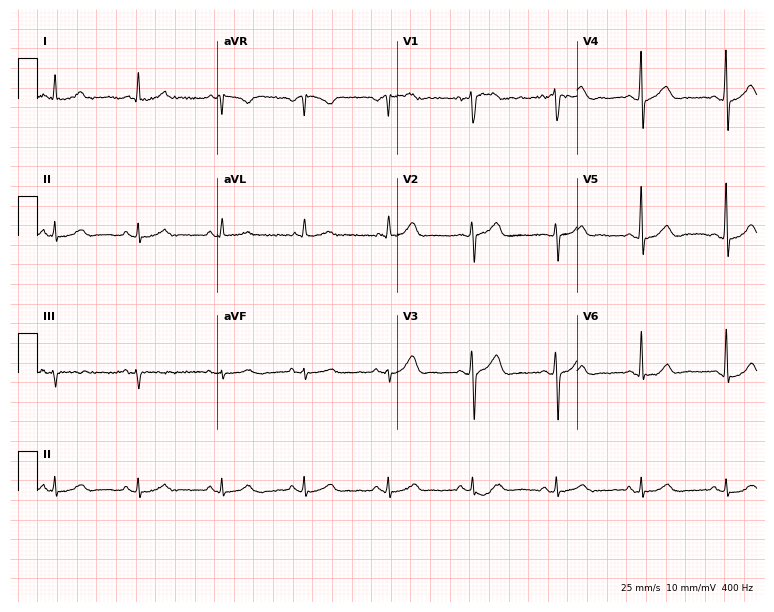
Electrocardiogram, a 61-year-old male patient. Overall reading on record: normal ECG.